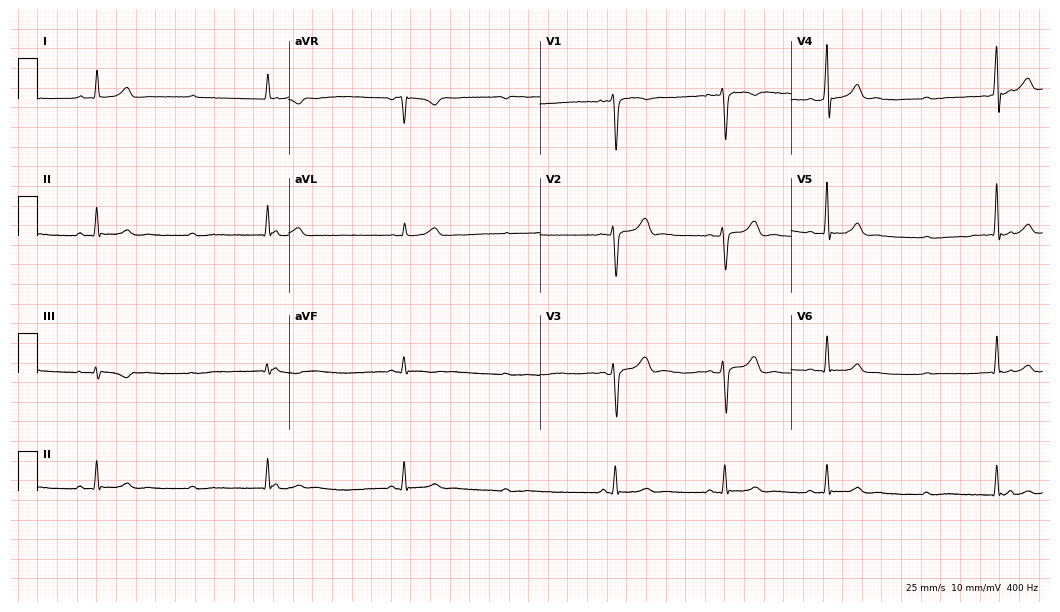
Electrocardiogram (10.2-second recording at 400 Hz), a man, 19 years old. Of the six screened findings (first-degree AV block, right bundle branch block, left bundle branch block, sinus bradycardia, atrial fibrillation, sinus tachycardia), none is recorded.